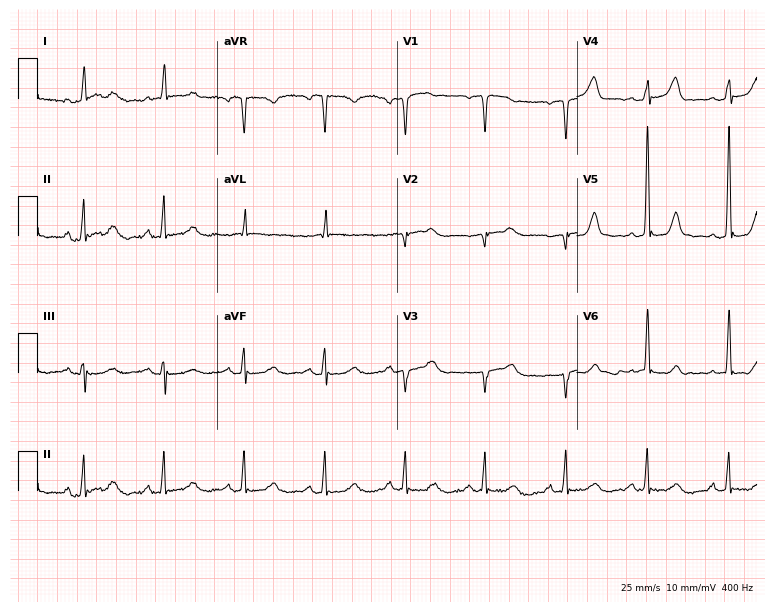
Standard 12-lead ECG recorded from an 81-year-old female patient (7.3-second recording at 400 Hz). None of these six findings is recorded: first-degree AV block, right bundle branch block, left bundle branch block, sinus bradycardia, atrial fibrillation, sinus tachycardia.